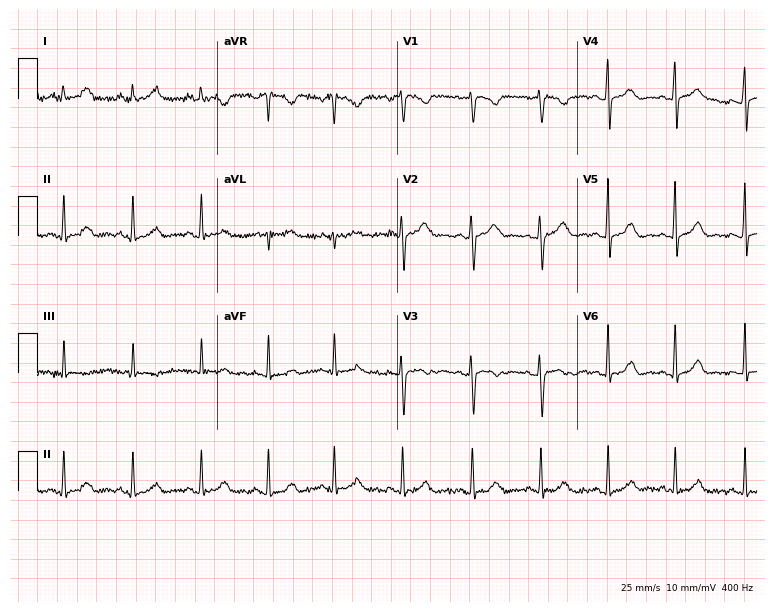
Resting 12-lead electrocardiogram. Patient: a 33-year-old female. Read as a normal ECG.